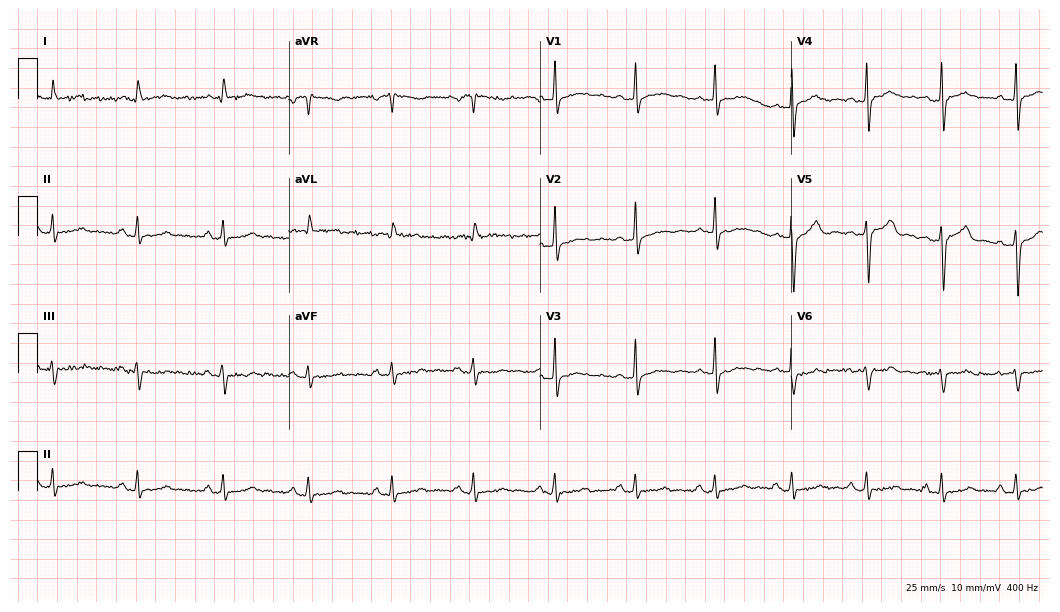
12-lead ECG from a male, 61 years old. Screened for six findings — first-degree AV block, right bundle branch block (RBBB), left bundle branch block (LBBB), sinus bradycardia, atrial fibrillation (AF), sinus tachycardia — none is recorded. Findings outside these six are not listed.